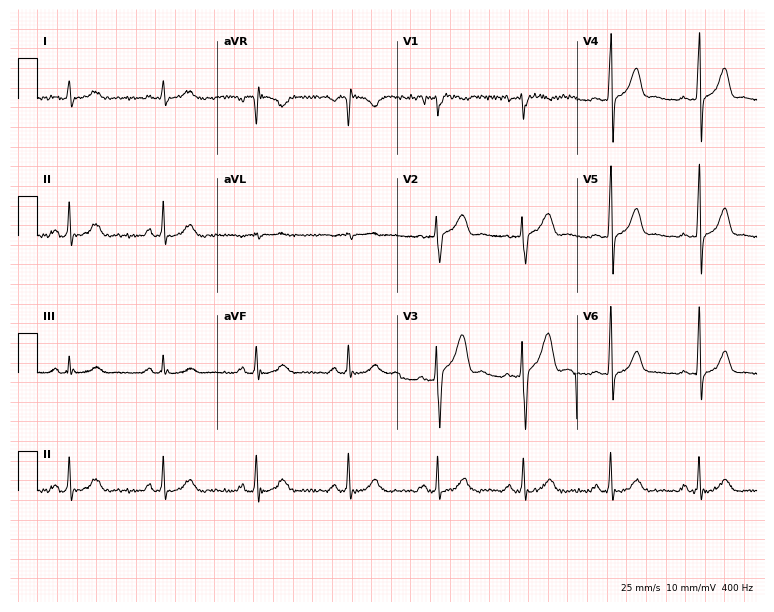
12-lead ECG from a 29-year-old male patient (7.3-second recording at 400 Hz). No first-degree AV block, right bundle branch block (RBBB), left bundle branch block (LBBB), sinus bradycardia, atrial fibrillation (AF) or sinus tachycardia recorded for this tracing. Only these six findings were labelled.